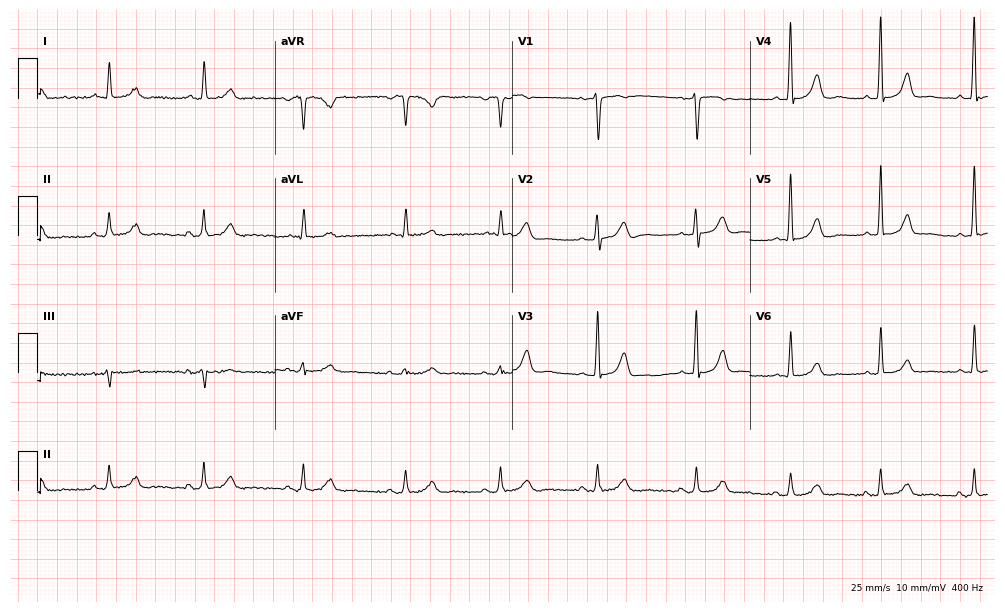
Electrocardiogram (9.7-second recording at 400 Hz), a 57-year-old female. Overall reading on record: normal ECG.